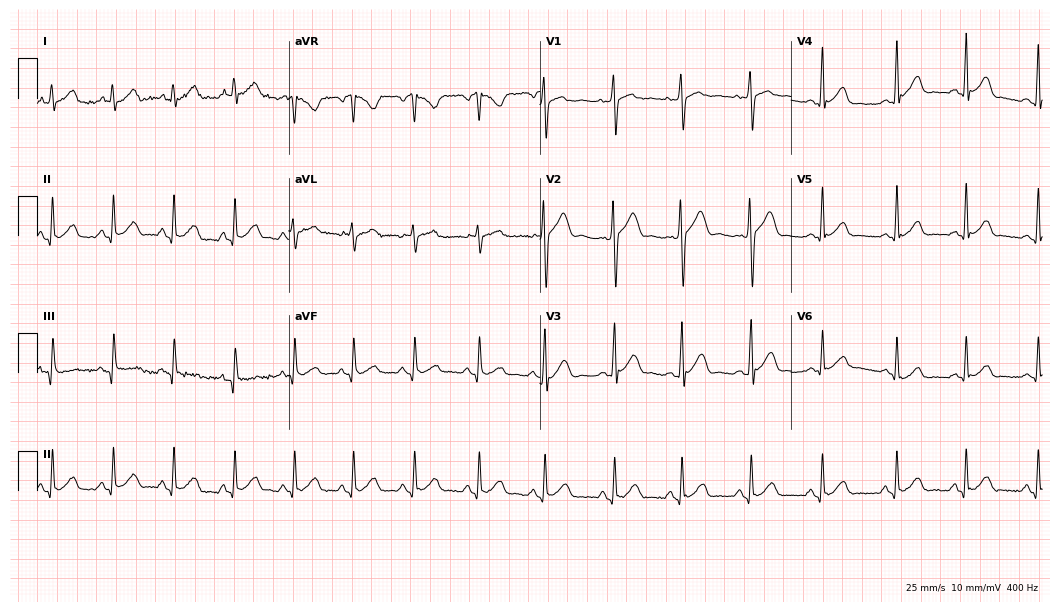
Resting 12-lead electrocardiogram (10.2-second recording at 400 Hz). Patient: a 23-year-old male. None of these six findings is recorded: first-degree AV block, right bundle branch block, left bundle branch block, sinus bradycardia, atrial fibrillation, sinus tachycardia.